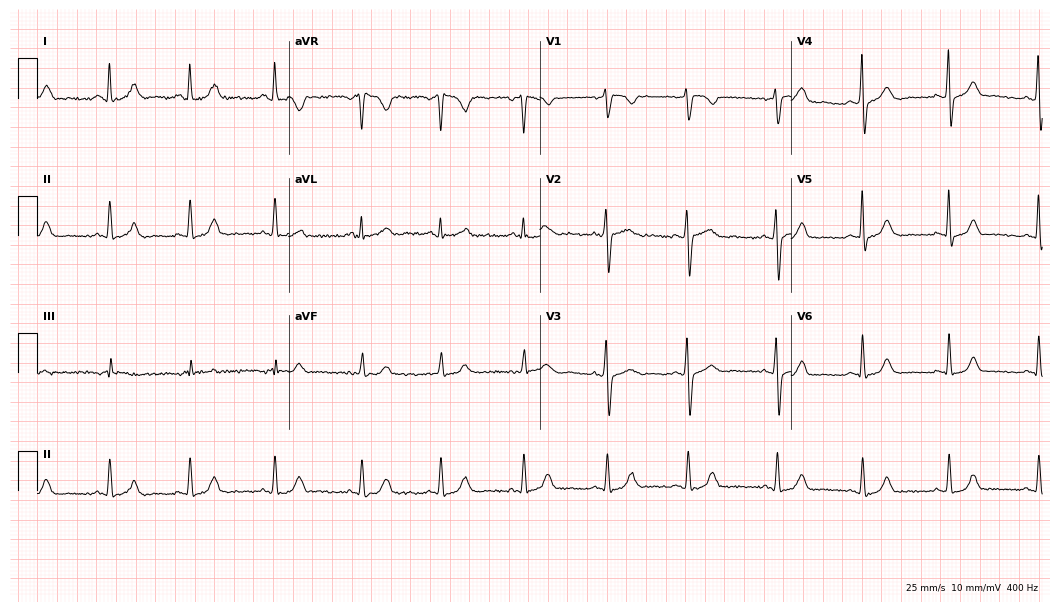
Standard 12-lead ECG recorded from a woman, 43 years old. None of these six findings is recorded: first-degree AV block, right bundle branch block (RBBB), left bundle branch block (LBBB), sinus bradycardia, atrial fibrillation (AF), sinus tachycardia.